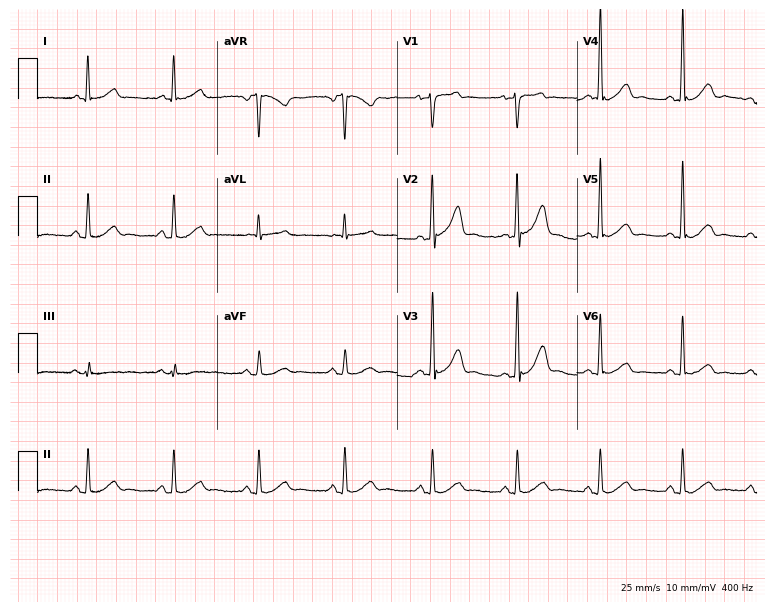
12-lead ECG from a 62-year-old male patient. No first-degree AV block, right bundle branch block, left bundle branch block, sinus bradycardia, atrial fibrillation or sinus tachycardia recorded for this tracing.